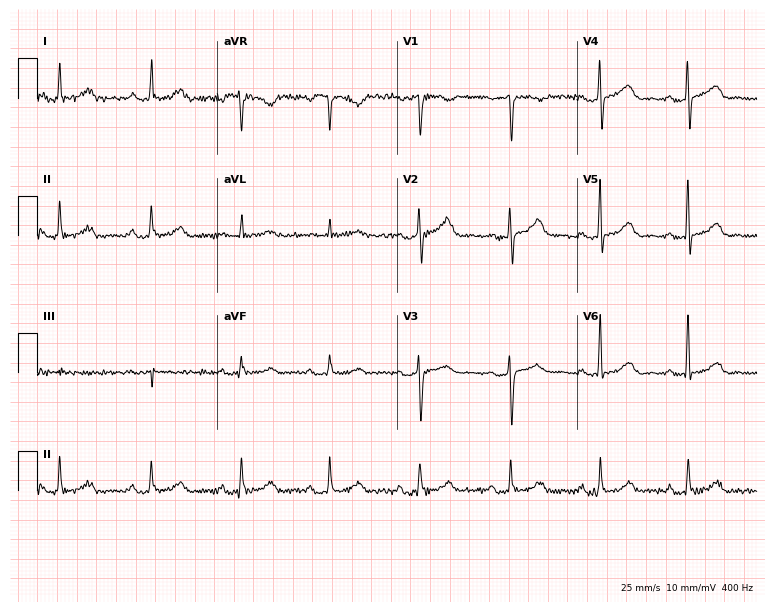
Standard 12-lead ECG recorded from a woman, 56 years old. Read as a normal ECG.